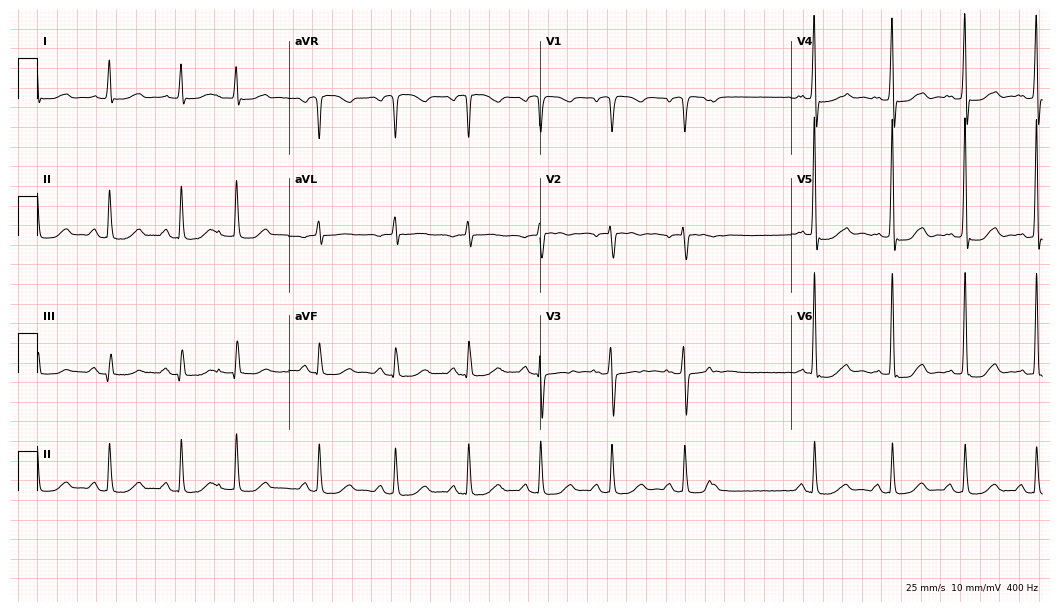
Standard 12-lead ECG recorded from an 83-year-old woman. None of these six findings is recorded: first-degree AV block, right bundle branch block, left bundle branch block, sinus bradycardia, atrial fibrillation, sinus tachycardia. Only these six findings were labelled.